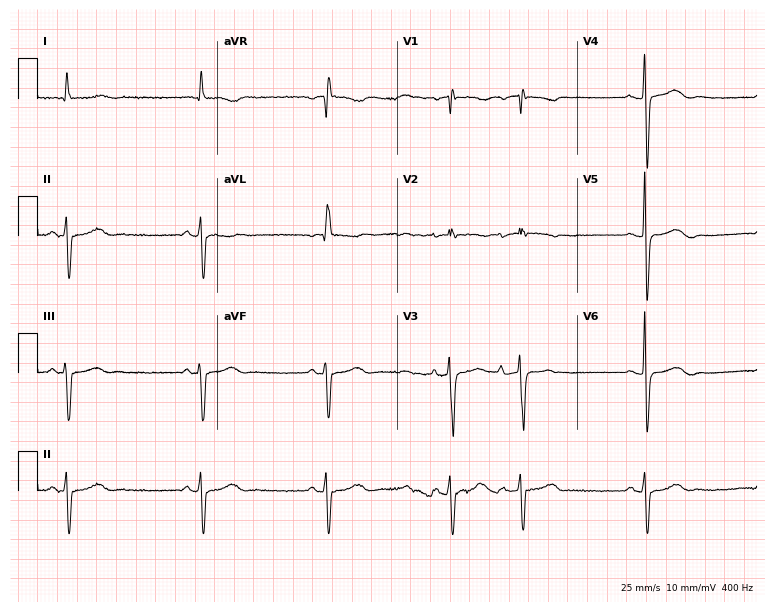
12-lead ECG from a woman, 80 years old. Findings include sinus bradycardia (a sinus rate of 50 beats per minute or less).